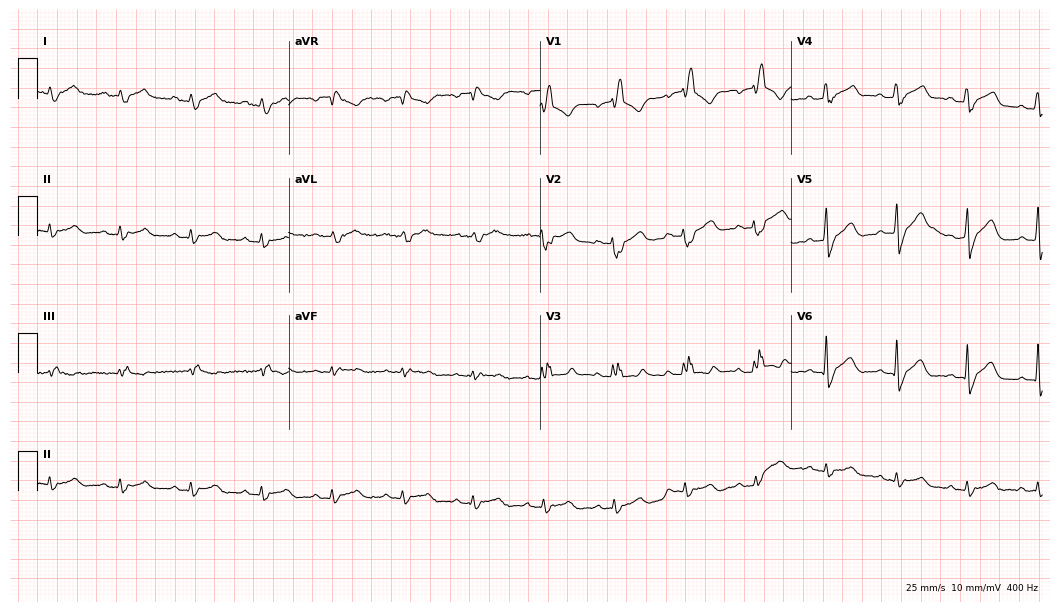
ECG — a 60-year-old male. Findings include right bundle branch block (RBBB).